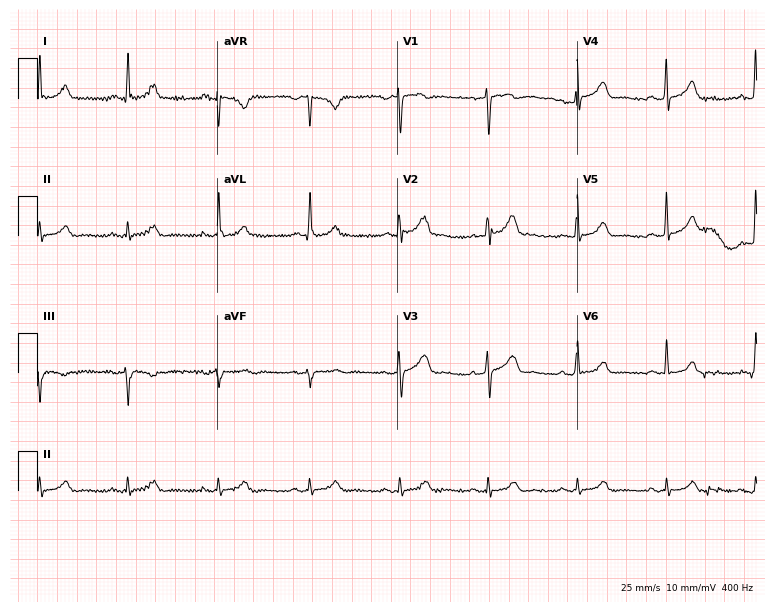
12-lead ECG from a man, 57 years old (7.3-second recording at 400 Hz). Recorded interpretation: within normal limits.